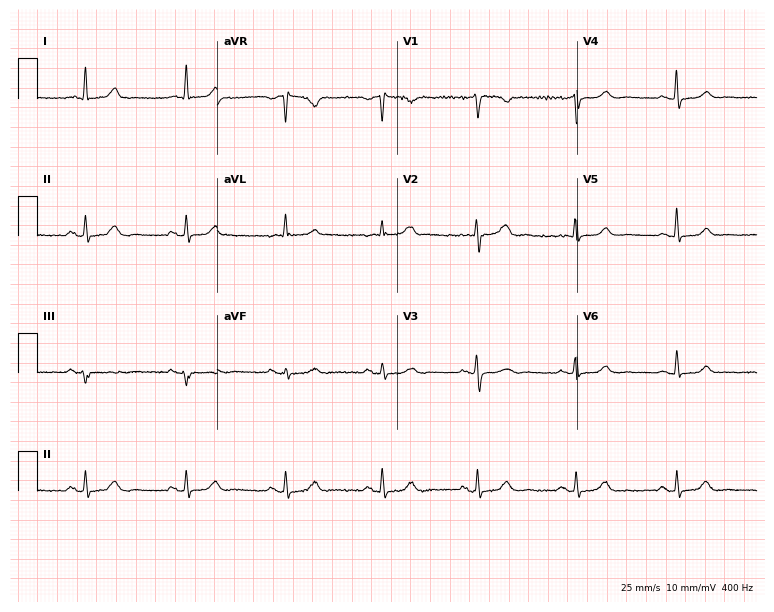
12-lead ECG (7.3-second recording at 400 Hz) from a woman, 70 years old. Labelled as a normal ECG.